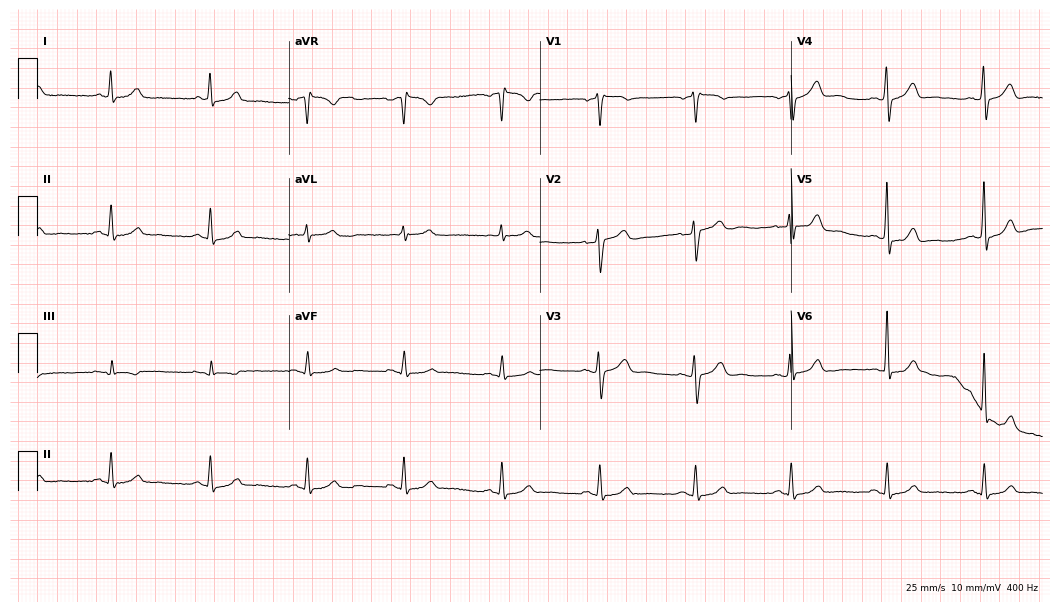
Electrocardiogram (10.2-second recording at 400 Hz), a man, 64 years old. Overall reading on record: normal ECG.